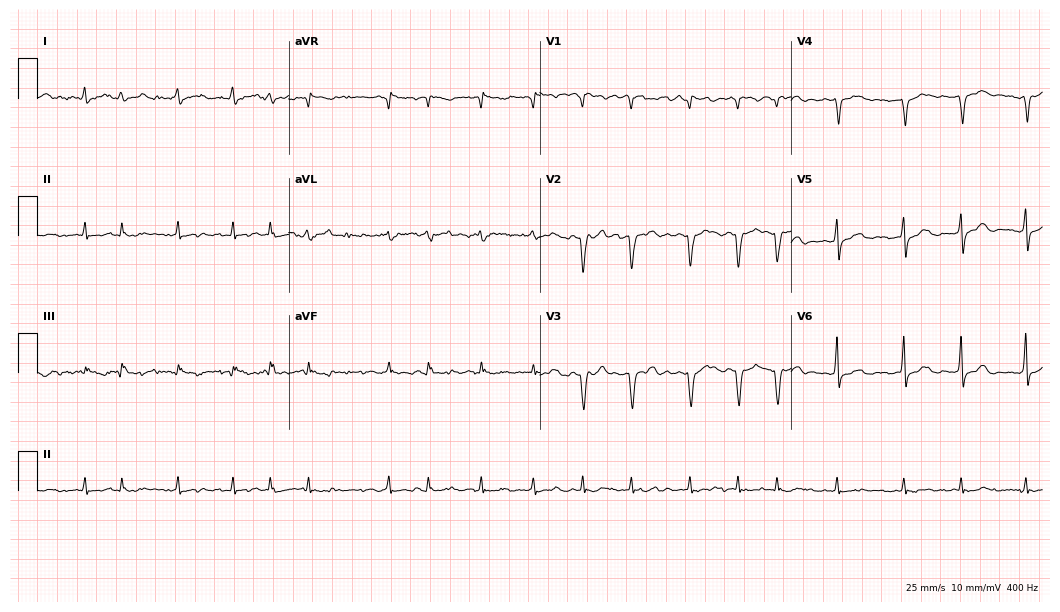
Standard 12-lead ECG recorded from a female patient, 80 years old (10.2-second recording at 400 Hz). The tracing shows atrial fibrillation.